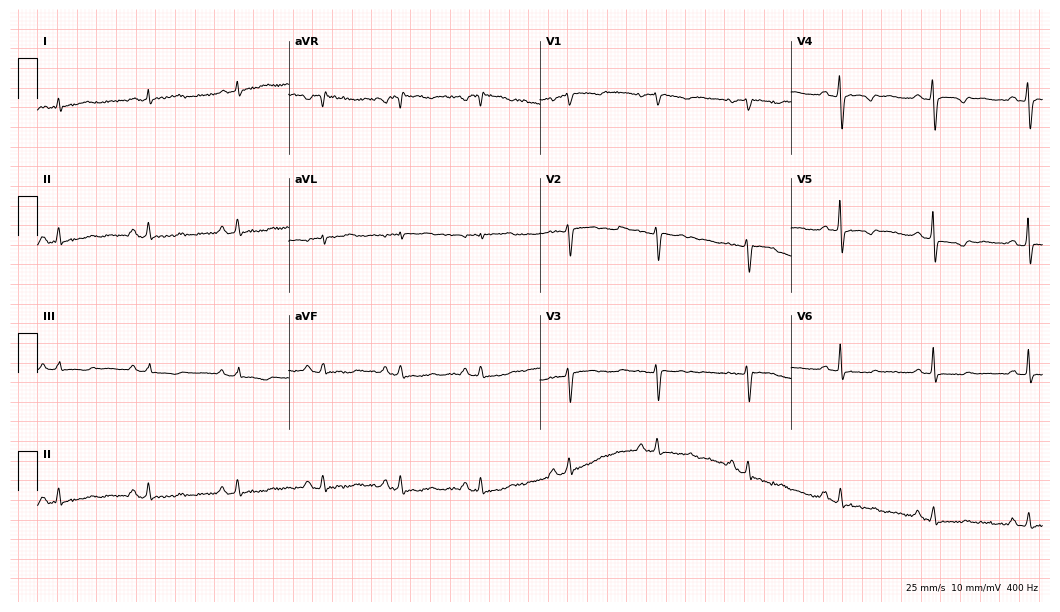
12-lead ECG from a female, 51 years old. No first-degree AV block, right bundle branch block, left bundle branch block, sinus bradycardia, atrial fibrillation or sinus tachycardia recorded for this tracing. Only these six findings were labelled.